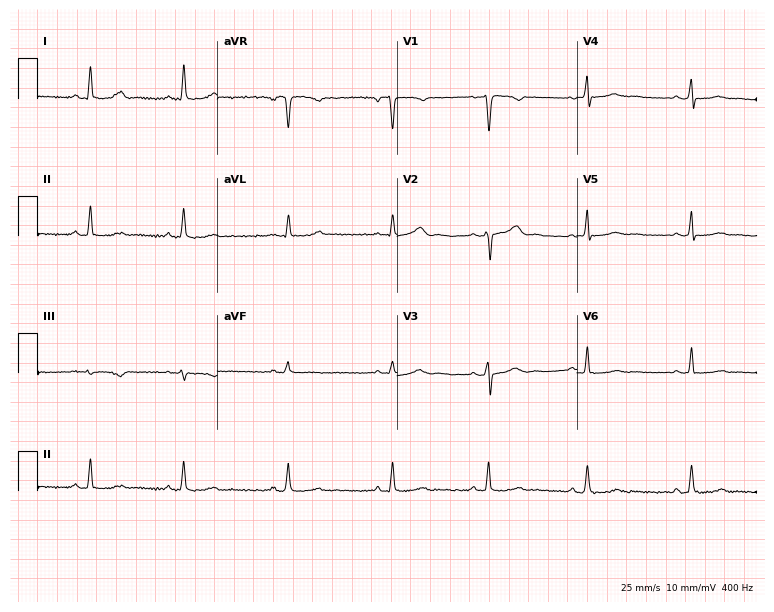
Resting 12-lead electrocardiogram (7.3-second recording at 400 Hz). Patient: a 19-year-old female. None of these six findings is recorded: first-degree AV block, right bundle branch block (RBBB), left bundle branch block (LBBB), sinus bradycardia, atrial fibrillation (AF), sinus tachycardia.